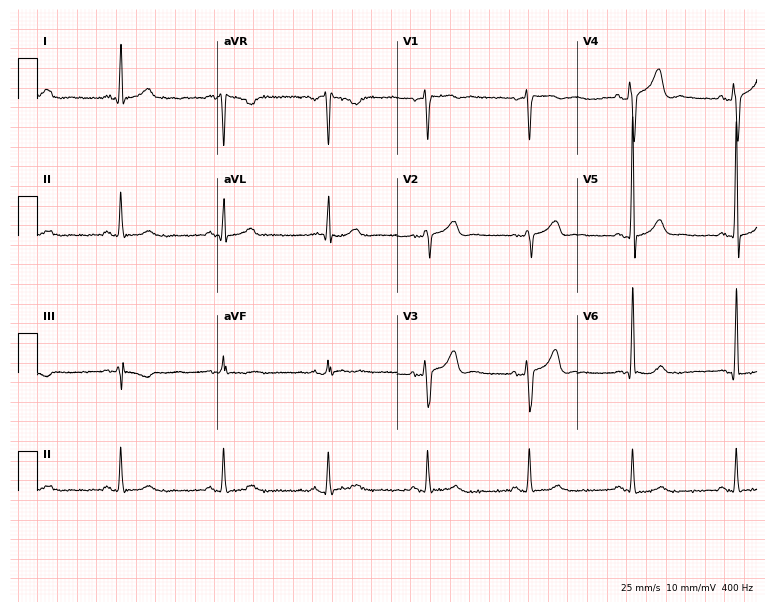
Resting 12-lead electrocardiogram. Patient: a 49-year-old male. Read as a normal ECG.